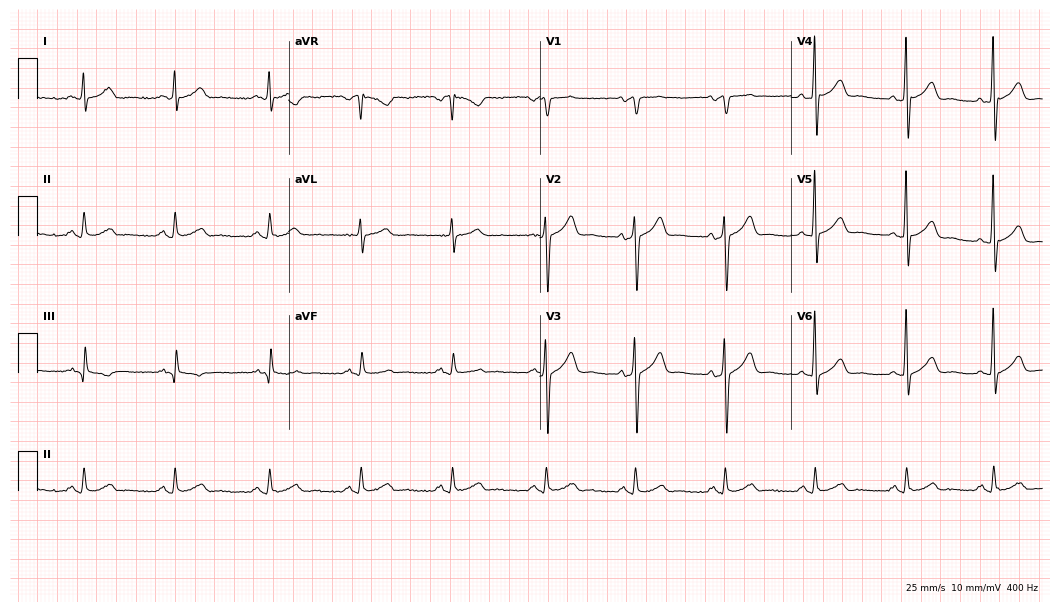
Resting 12-lead electrocardiogram (10.2-second recording at 400 Hz). Patient: a male, 44 years old. None of these six findings is recorded: first-degree AV block, right bundle branch block, left bundle branch block, sinus bradycardia, atrial fibrillation, sinus tachycardia. Findings outside these six are not listed.